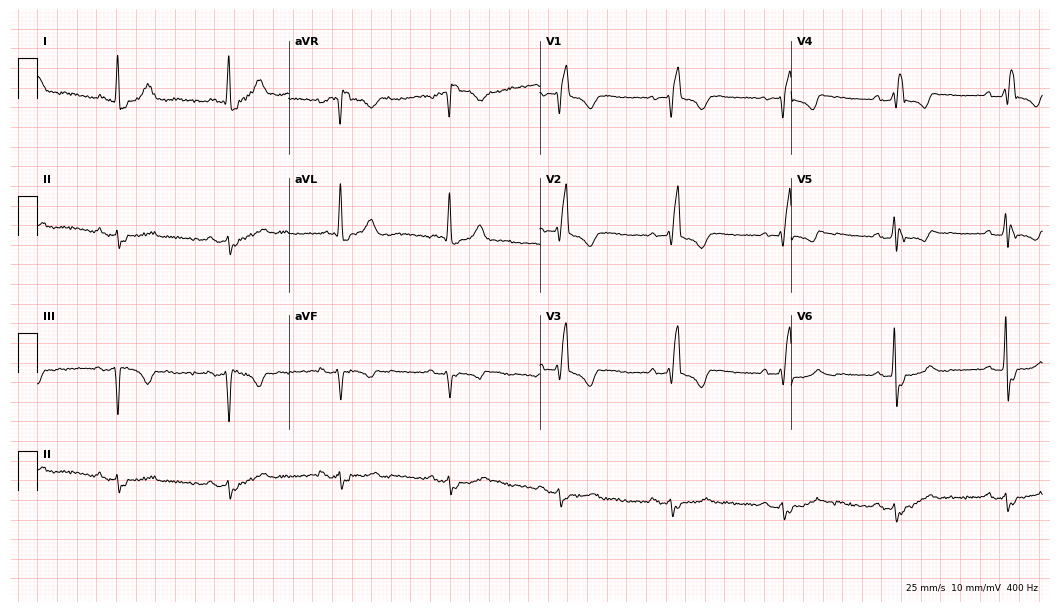
ECG — an 80-year-old male patient. Findings include right bundle branch block.